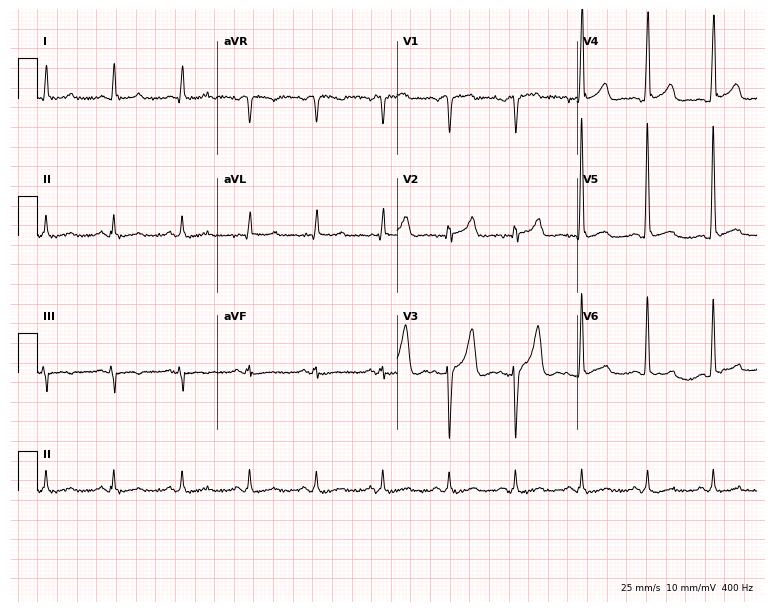
12-lead ECG from a woman, 51 years old. No first-degree AV block, right bundle branch block, left bundle branch block, sinus bradycardia, atrial fibrillation or sinus tachycardia recorded for this tracing.